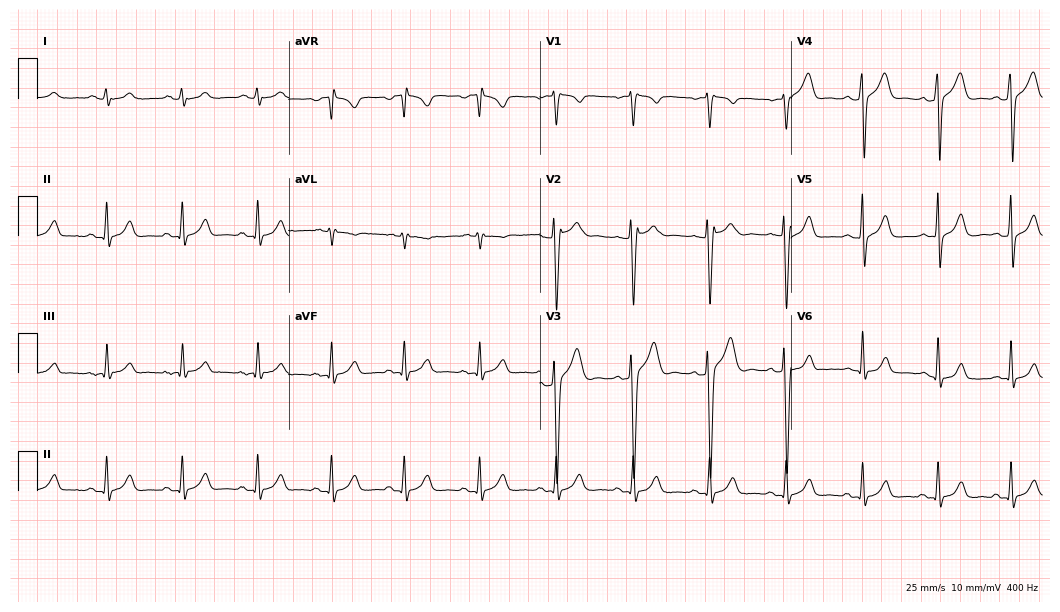
12-lead ECG from a male patient, 27 years old (10.2-second recording at 400 Hz). Recorded interpretation: within normal limits.